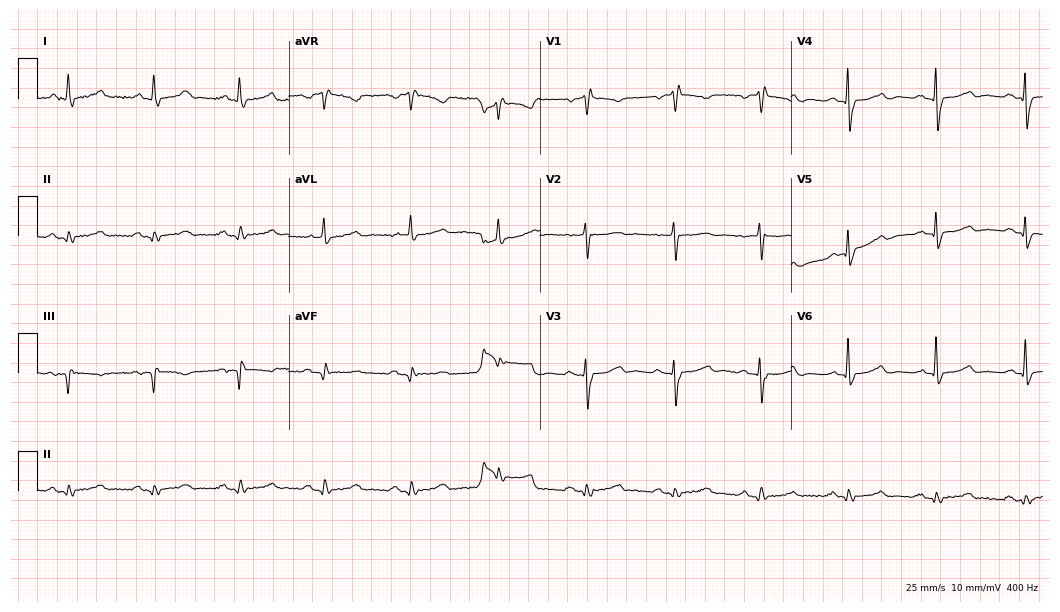
ECG — a female, 78 years old. Screened for six findings — first-degree AV block, right bundle branch block, left bundle branch block, sinus bradycardia, atrial fibrillation, sinus tachycardia — none is recorded. Other findings, if any, are not listed.